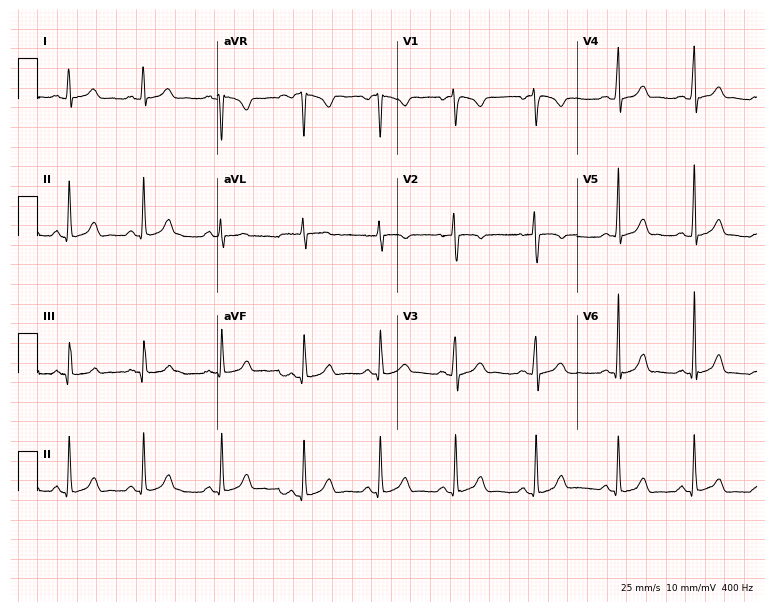
ECG — a woman, 22 years old. Labelled as a normal ECG.